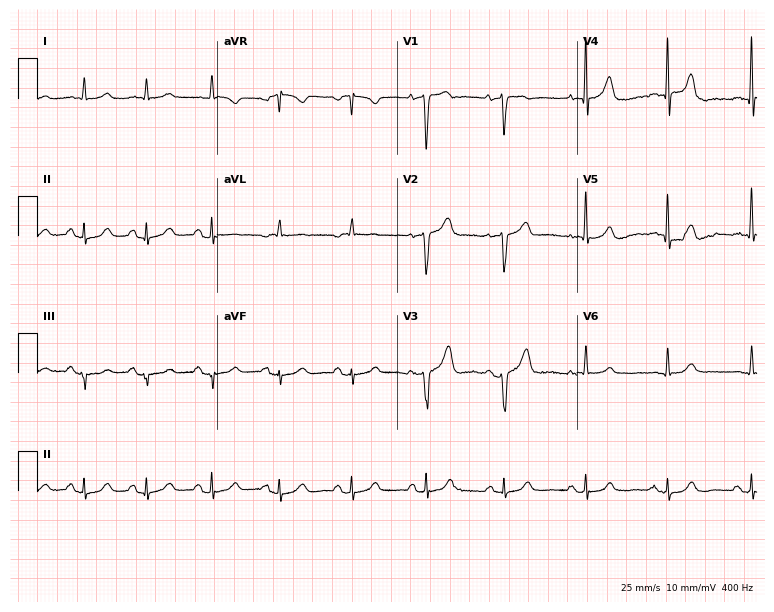
Electrocardiogram, a 75-year-old female patient. Of the six screened findings (first-degree AV block, right bundle branch block (RBBB), left bundle branch block (LBBB), sinus bradycardia, atrial fibrillation (AF), sinus tachycardia), none is recorded.